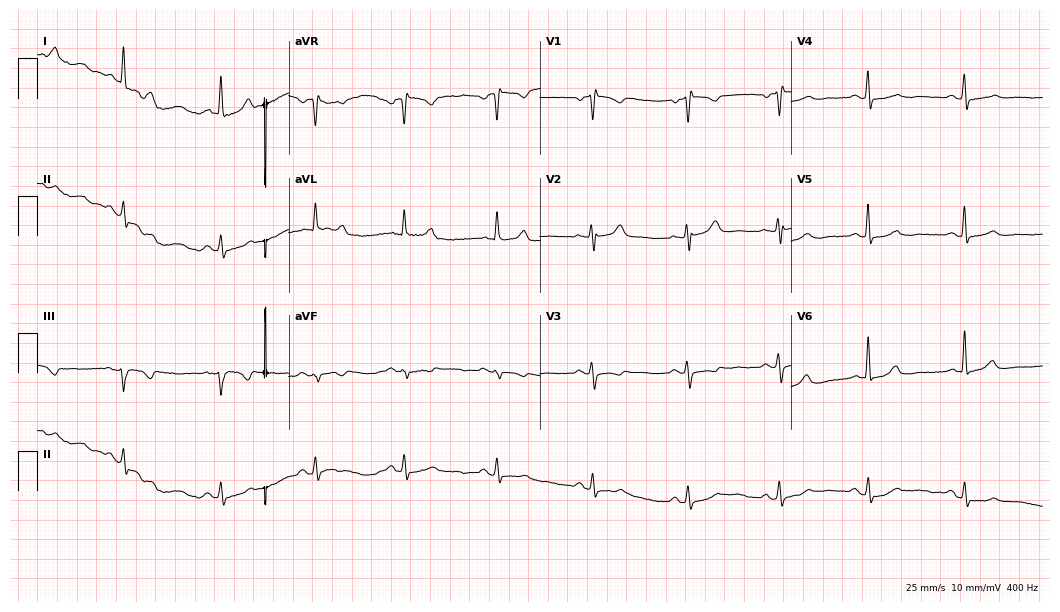
Electrocardiogram (10.2-second recording at 400 Hz), a female, 60 years old. Of the six screened findings (first-degree AV block, right bundle branch block (RBBB), left bundle branch block (LBBB), sinus bradycardia, atrial fibrillation (AF), sinus tachycardia), none is recorded.